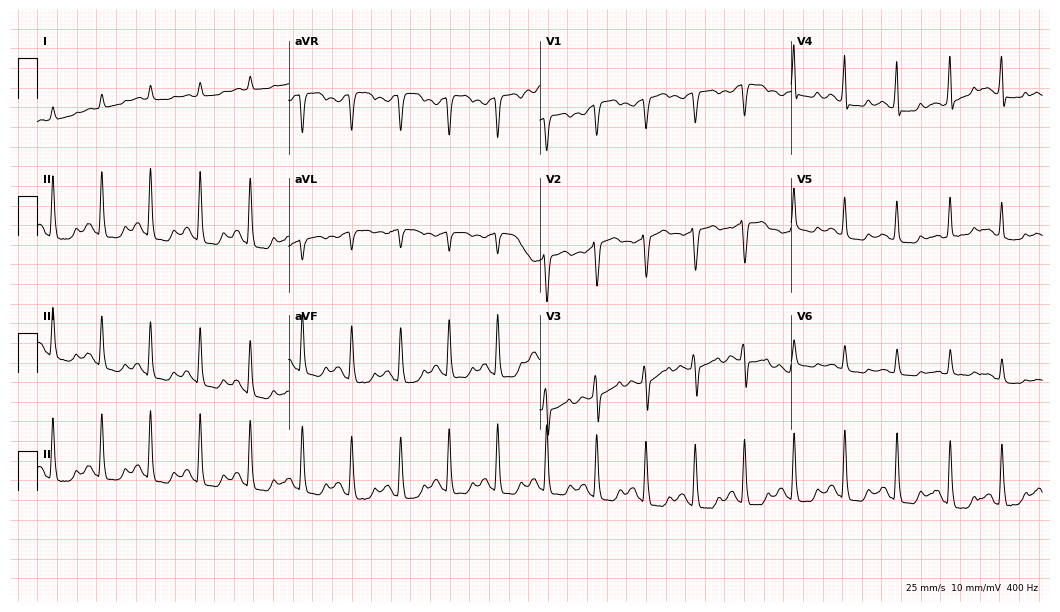
Electrocardiogram (10.2-second recording at 400 Hz), a man, 55 years old. Interpretation includes sinus tachycardia (a sinus rate of 100 beats per minute or more).